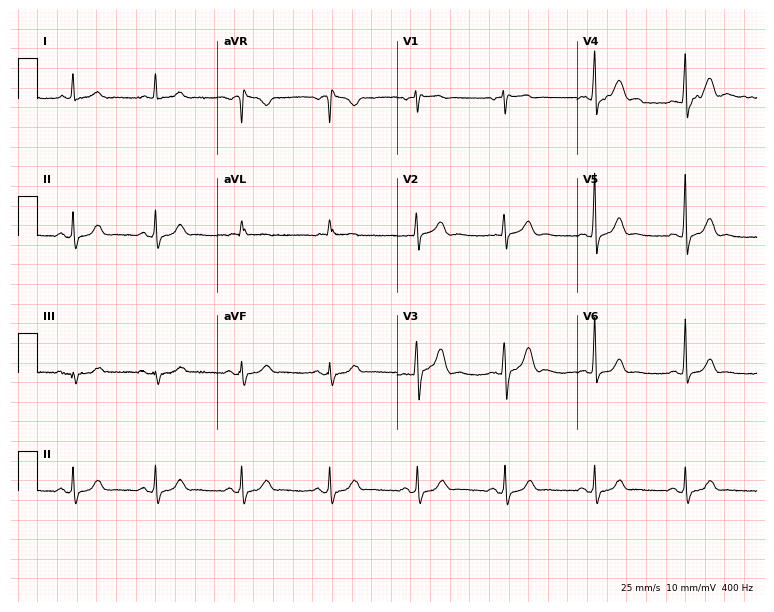
ECG (7.3-second recording at 400 Hz) — a male patient, 57 years old. Screened for six findings — first-degree AV block, right bundle branch block (RBBB), left bundle branch block (LBBB), sinus bradycardia, atrial fibrillation (AF), sinus tachycardia — none is recorded.